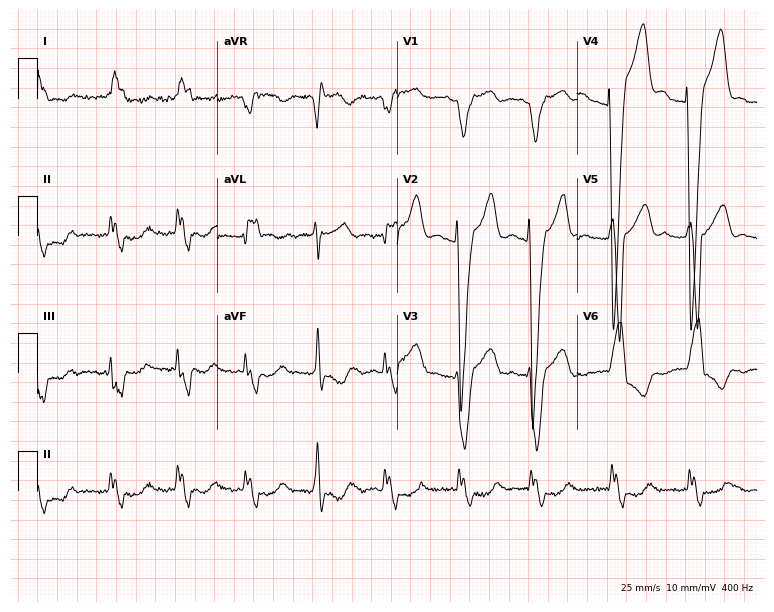
Electrocardiogram (7.3-second recording at 400 Hz), a female, 65 years old. Interpretation includes left bundle branch block (LBBB).